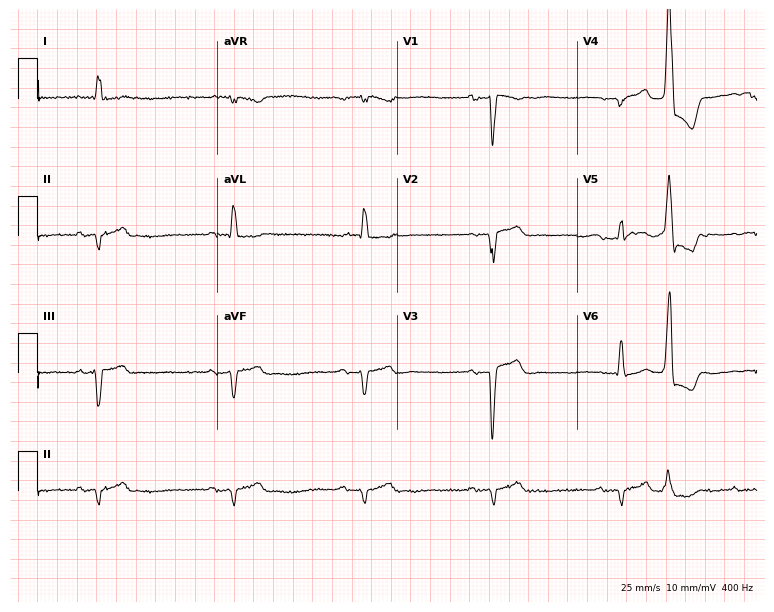
12-lead ECG from a 78-year-old female. Shows sinus bradycardia (a sinus rate of 50 beats per minute or less).